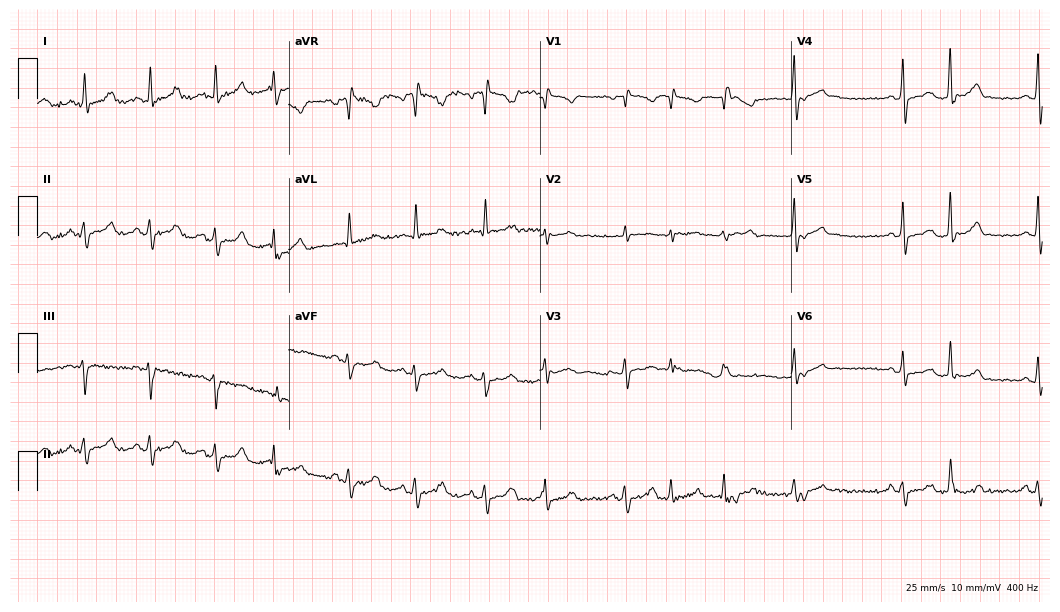
12-lead ECG (10.2-second recording at 400 Hz) from a 62-year-old woman. Screened for six findings — first-degree AV block, right bundle branch block, left bundle branch block, sinus bradycardia, atrial fibrillation, sinus tachycardia — none is recorded. Only these six findings were labelled.